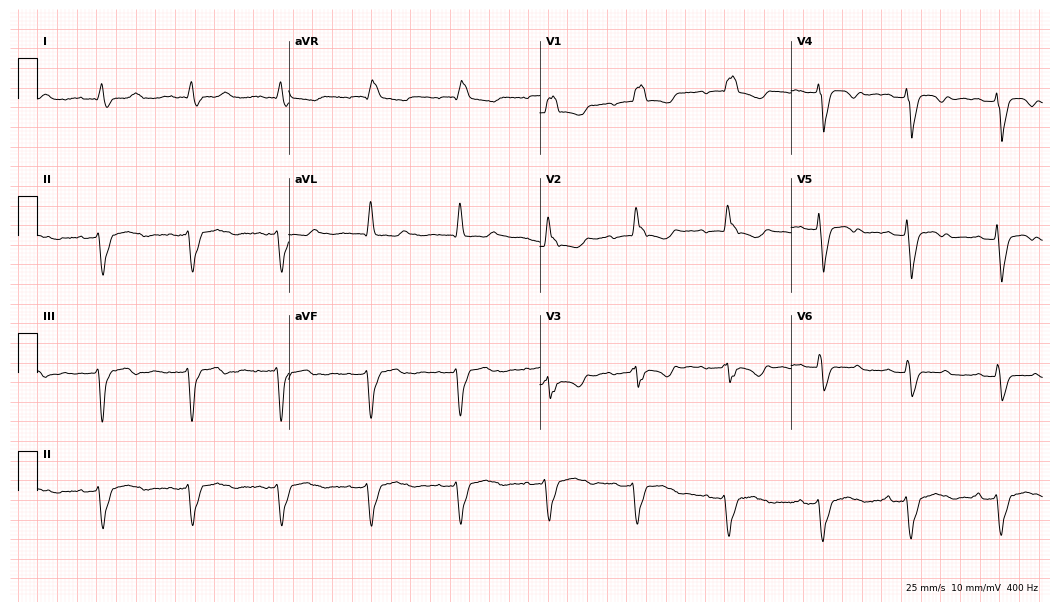
Resting 12-lead electrocardiogram. Patient: a woman, 58 years old. The tracing shows first-degree AV block, right bundle branch block.